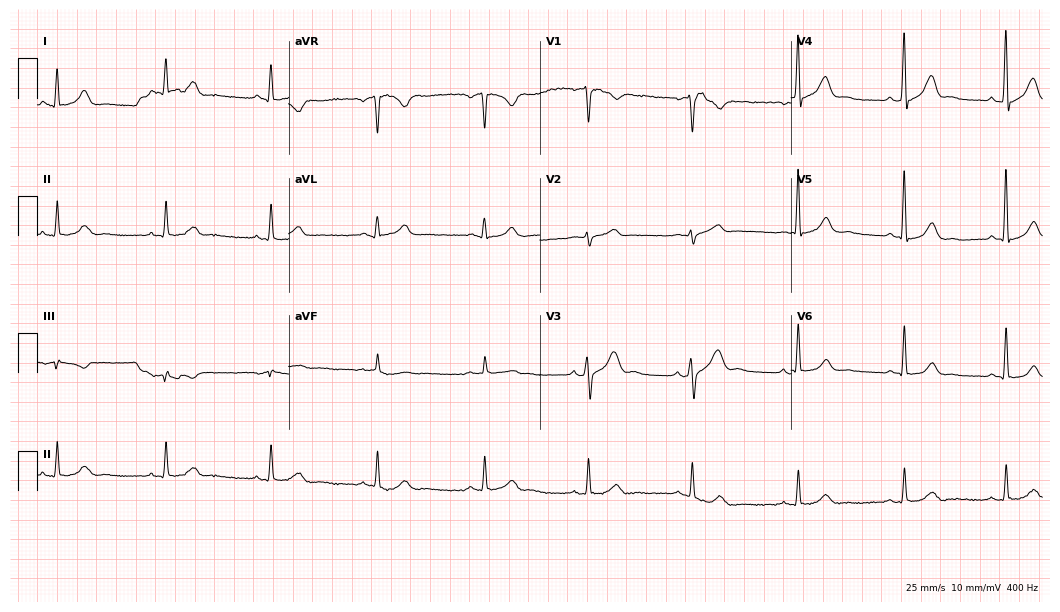
ECG — a 45-year-old man. Labelled as a normal ECG.